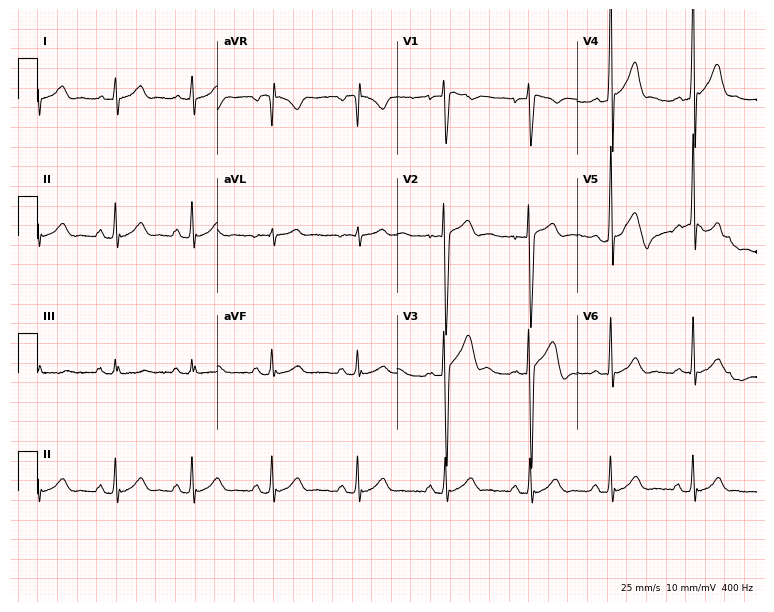
Electrocardiogram, a male patient, 20 years old. Of the six screened findings (first-degree AV block, right bundle branch block (RBBB), left bundle branch block (LBBB), sinus bradycardia, atrial fibrillation (AF), sinus tachycardia), none is recorded. Only these six findings were labelled.